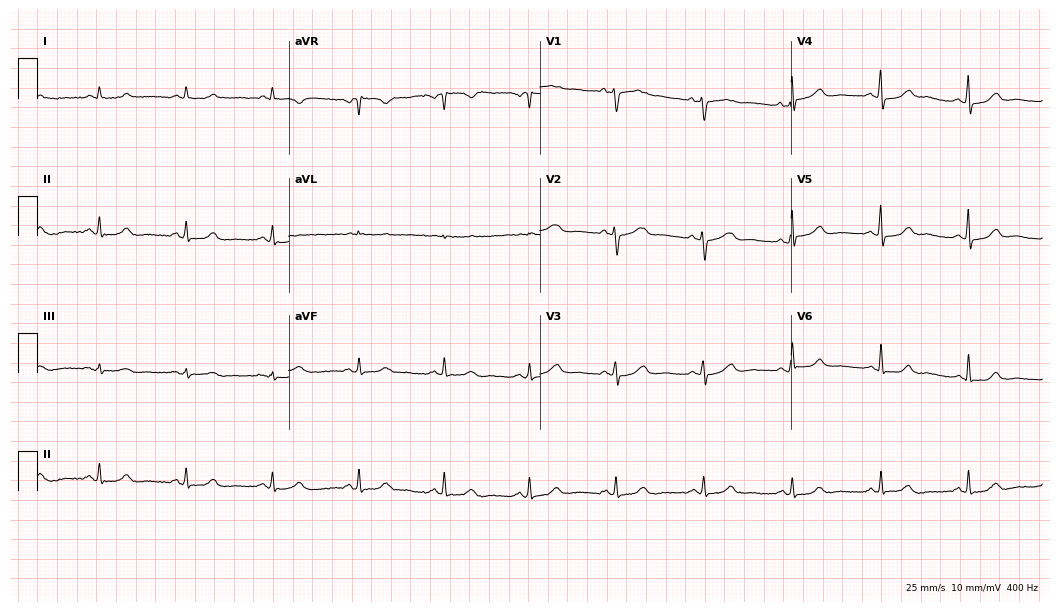
ECG — a female, 68 years old. Labelled as a normal ECG.